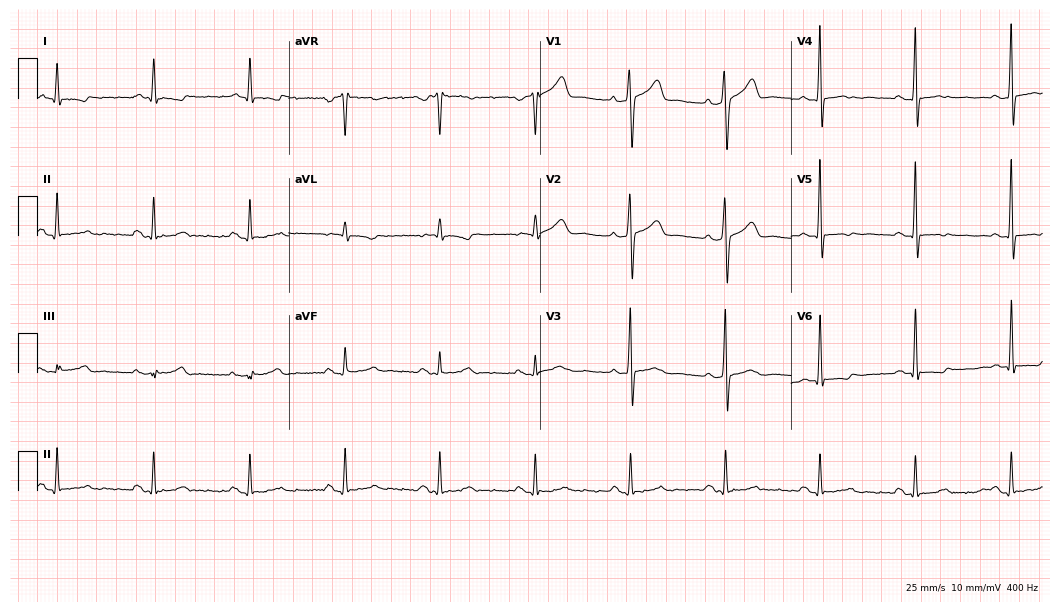
12-lead ECG from a man, 79 years old. Screened for six findings — first-degree AV block, right bundle branch block, left bundle branch block, sinus bradycardia, atrial fibrillation, sinus tachycardia — none is recorded. Findings outside these six are not listed.